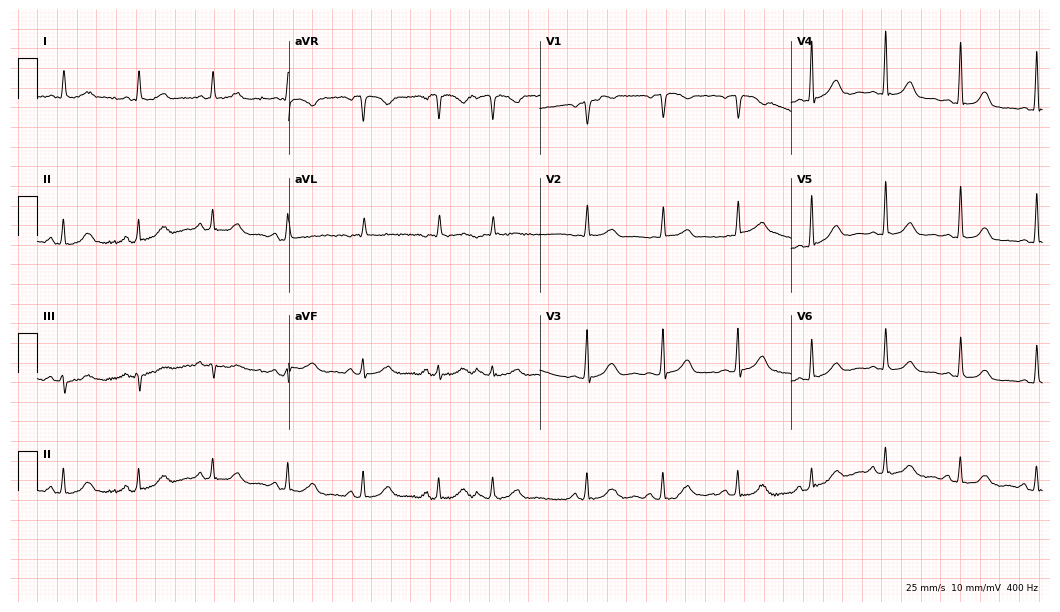
ECG (10.2-second recording at 400 Hz) — a 72-year-old female. Labelled as a normal ECG.